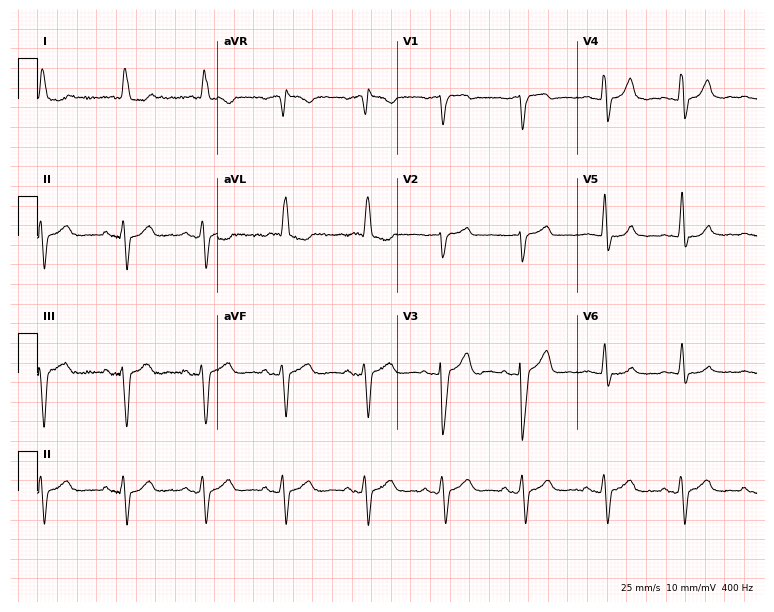
12-lead ECG from a female patient, 79 years old (7.3-second recording at 400 Hz). No first-degree AV block, right bundle branch block (RBBB), left bundle branch block (LBBB), sinus bradycardia, atrial fibrillation (AF) or sinus tachycardia recorded for this tracing. Only these six findings were labelled.